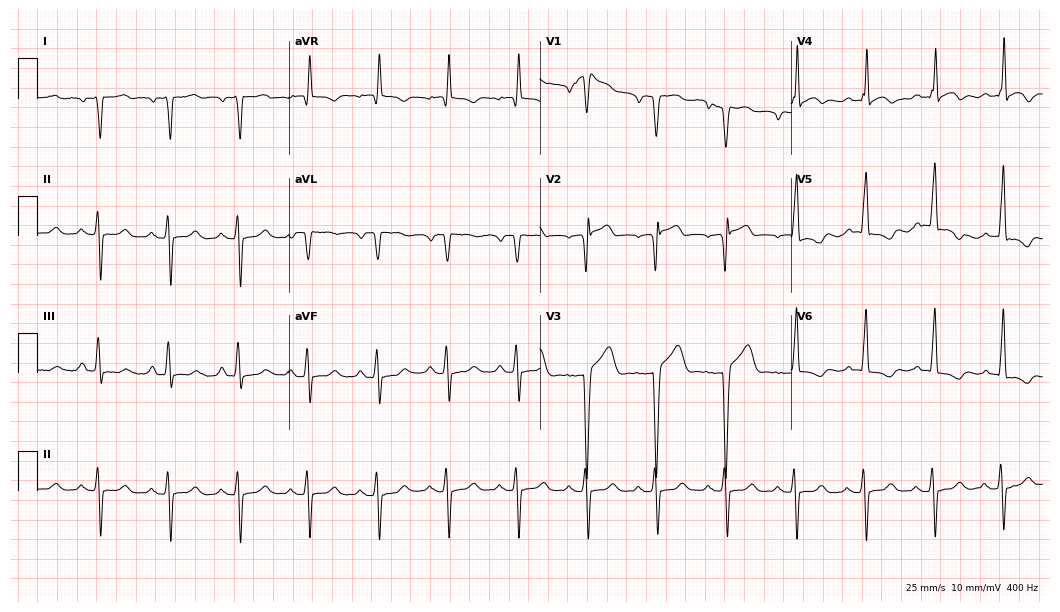
Resting 12-lead electrocardiogram. Patient: a 79-year-old male. None of these six findings is recorded: first-degree AV block, right bundle branch block, left bundle branch block, sinus bradycardia, atrial fibrillation, sinus tachycardia.